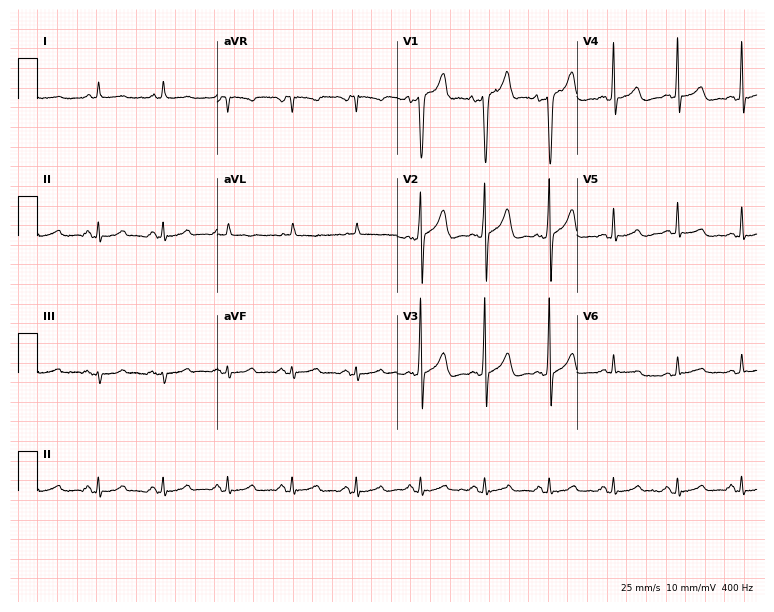
Electrocardiogram (7.3-second recording at 400 Hz), a male, 71 years old. Of the six screened findings (first-degree AV block, right bundle branch block, left bundle branch block, sinus bradycardia, atrial fibrillation, sinus tachycardia), none is recorded.